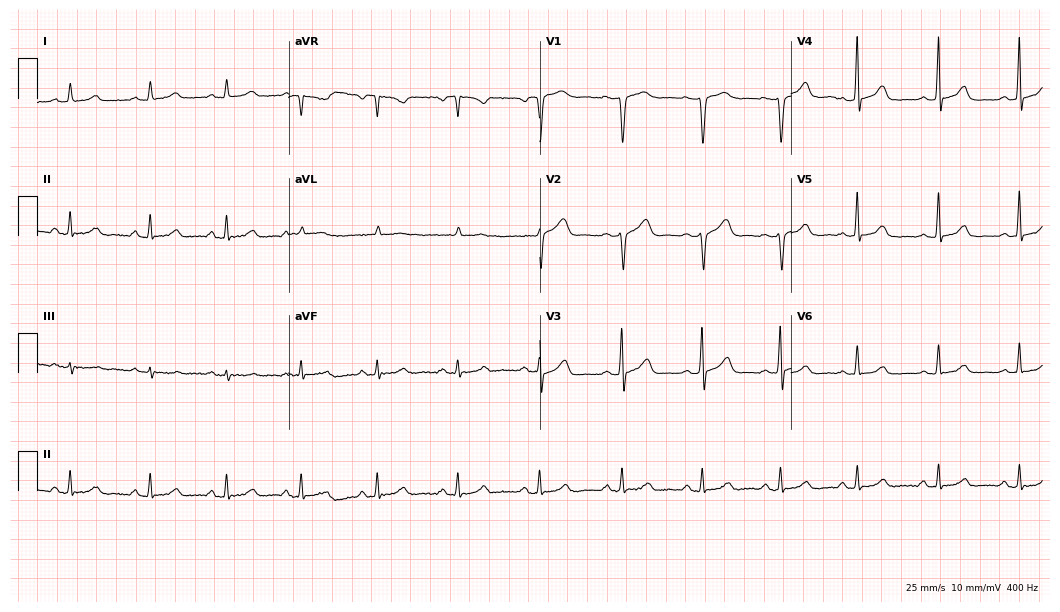
Resting 12-lead electrocardiogram (10.2-second recording at 400 Hz). Patient: a 38-year-old female. None of these six findings is recorded: first-degree AV block, right bundle branch block, left bundle branch block, sinus bradycardia, atrial fibrillation, sinus tachycardia. Findings outside these six are not listed.